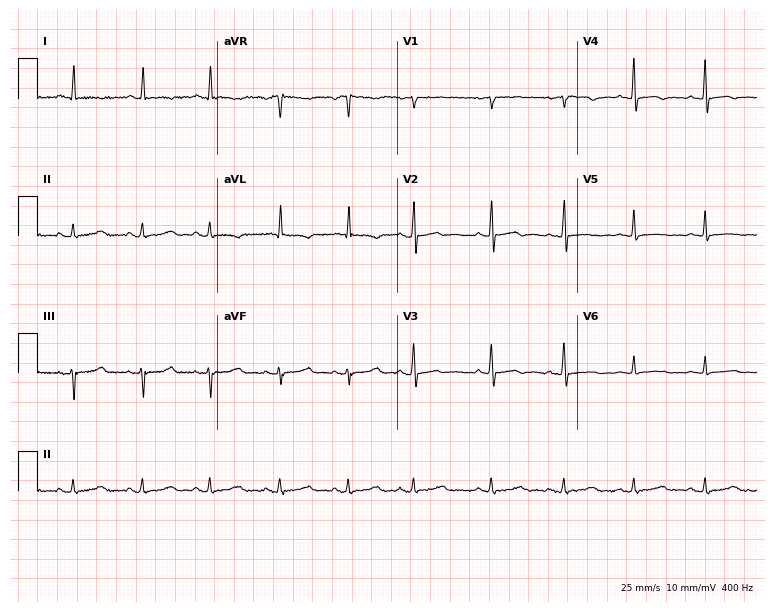
Standard 12-lead ECG recorded from a 78-year-old female. Read as a normal ECG.